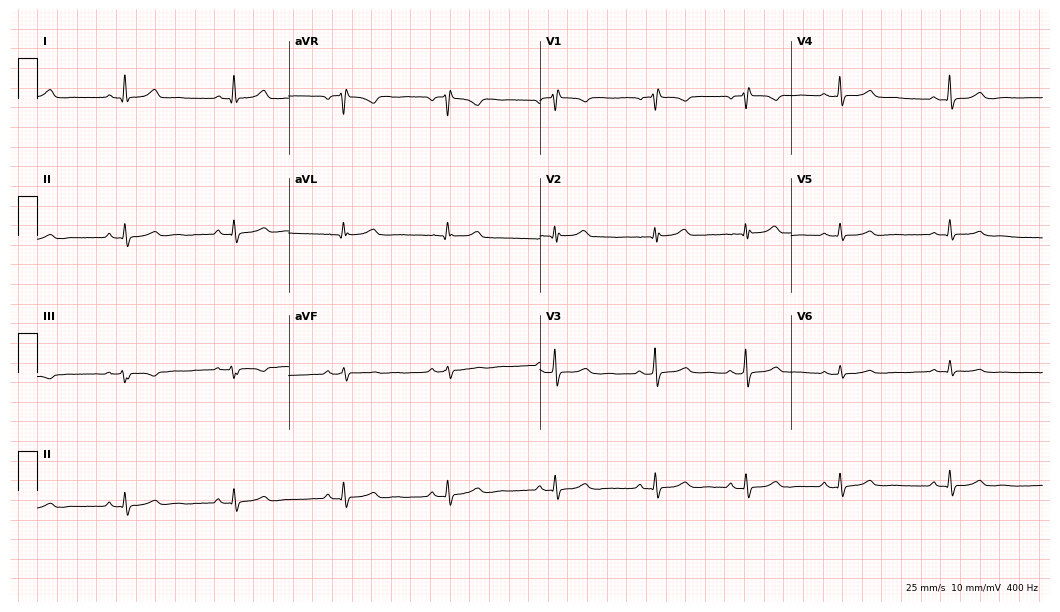
Standard 12-lead ECG recorded from a 53-year-old woman. None of these six findings is recorded: first-degree AV block, right bundle branch block, left bundle branch block, sinus bradycardia, atrial fibrillation, sinus tachycardia. Other findings, if any, are not listed.